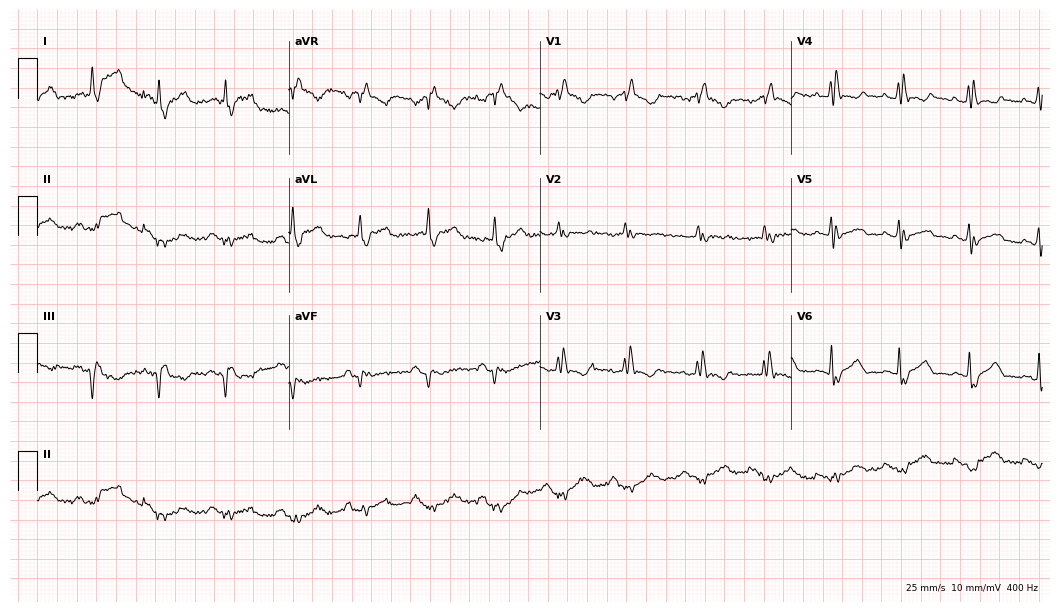
ECG — a female patient, 58 years old. Findings include right bundle branch block.